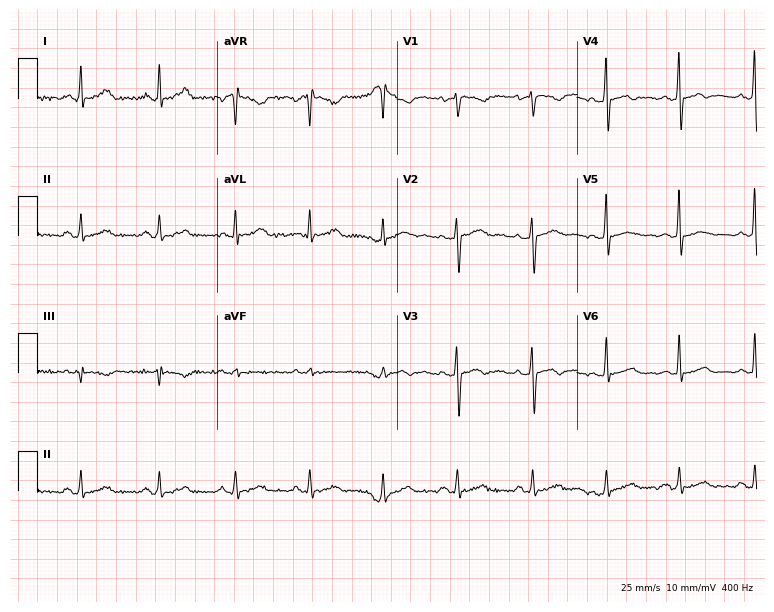
Standard 12-lead ECG recorded from a female patient, 33 years old (7.3-second recording at 400 Hz). None of these six findings is recorded: first-degree AV block, right bundle branch block, left bundle branch block, sinus bradycardia, atrial fibrillation, sinus tachycardia. Other findings, if any, are not listed.